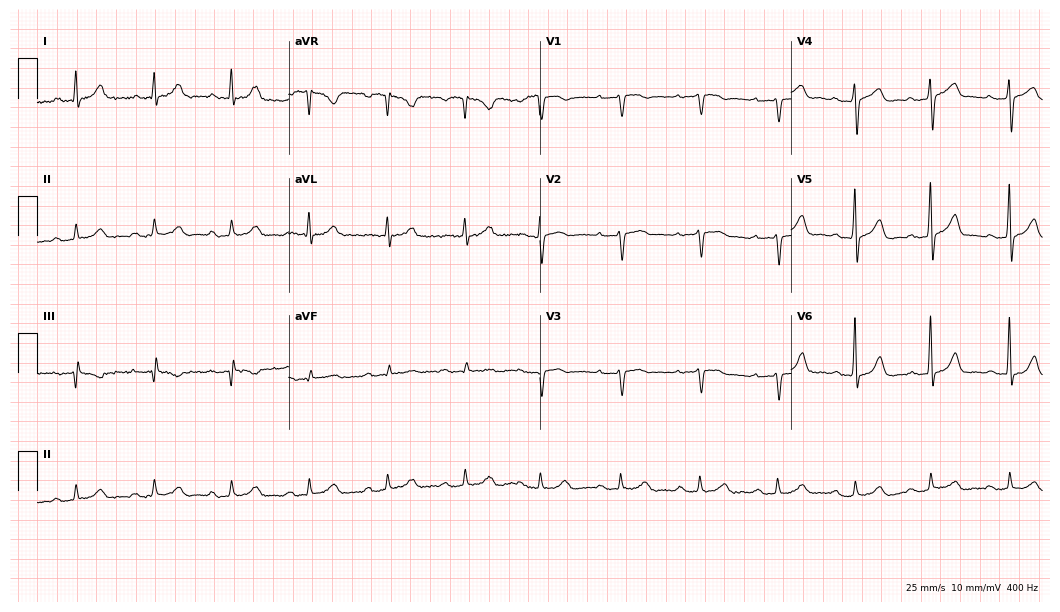
Resting 12-lead electrocardiogram (10.2-second recording at 400 Hz). Patient: an 85-year-old man. Read as a normal ECG.